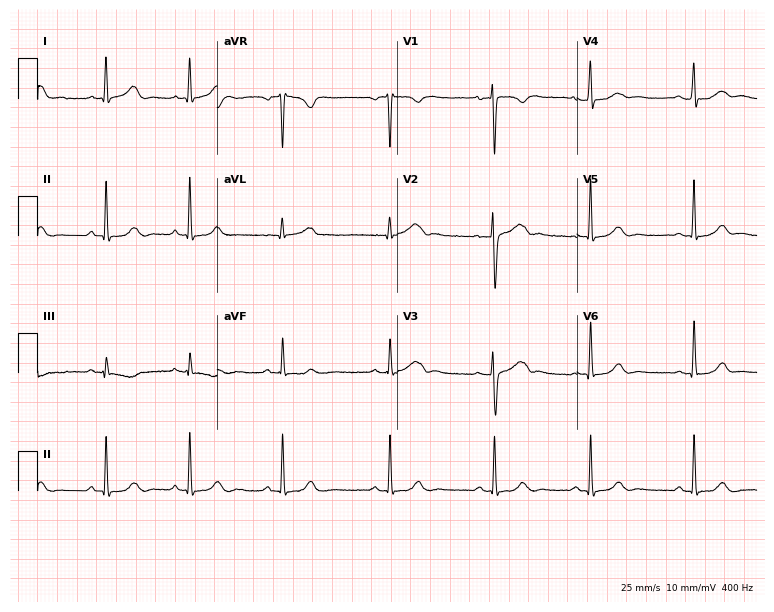
Standard 12-lead ECG recorded from a 22-year-old female (7.3-second recording at 400 Hz). None of these six findings is recorded: first-degree AV block, right bundle branch block, left bundle branch block, sinus bradycardia, atrial fibrillation, sinus tachycardia.